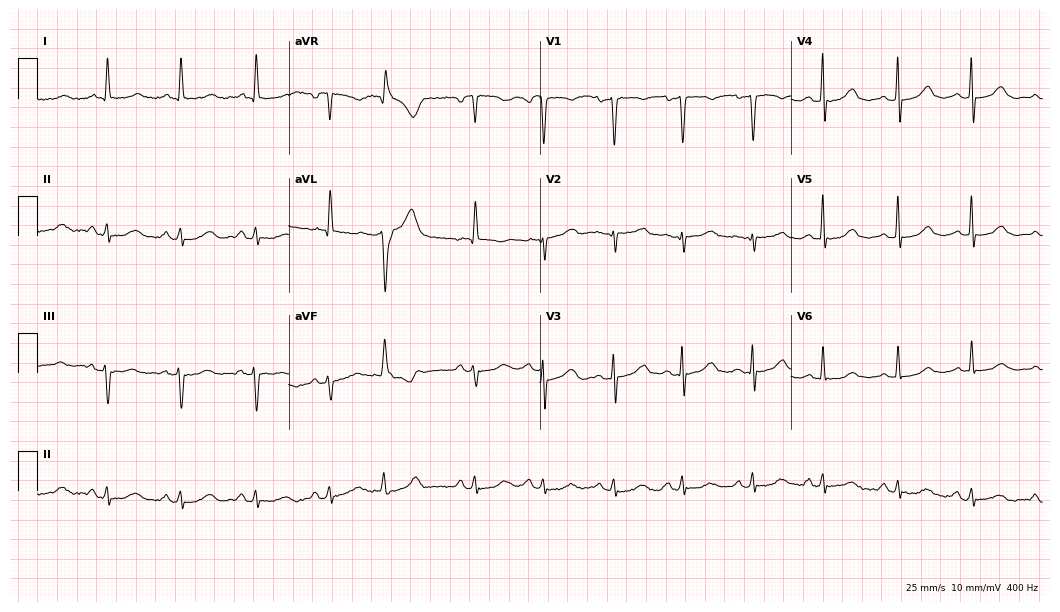
Standard 12-lead ECG recorded from a female, 77 years old (10.2-second recording at 400 Hz). Read as a normal ECG.